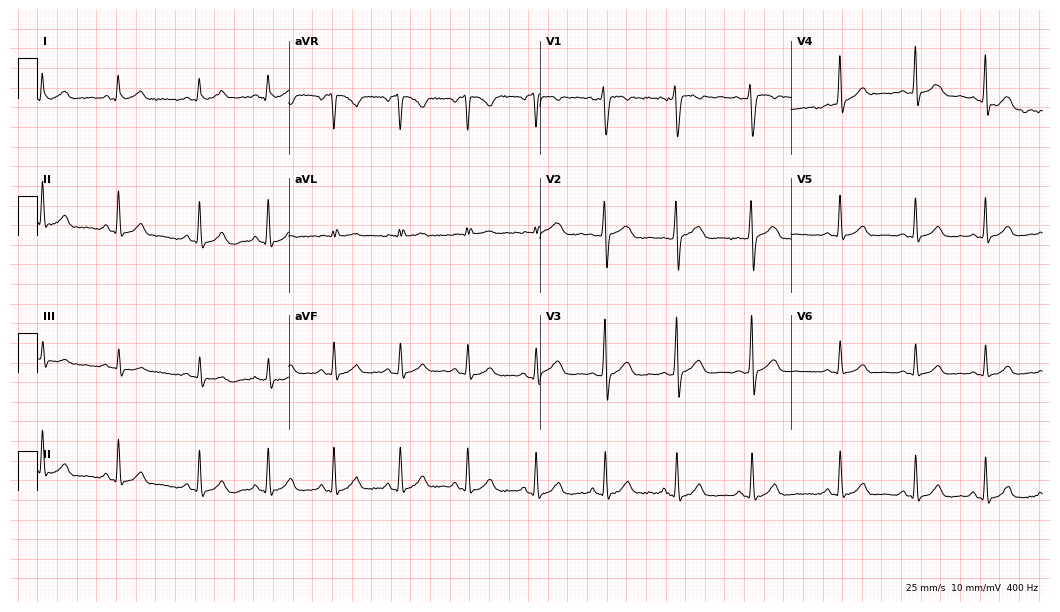
12-lead ECG from a 33-year-old woman (10.2-second recording at 400 Hz). Recorded interpretation: within normal limits.